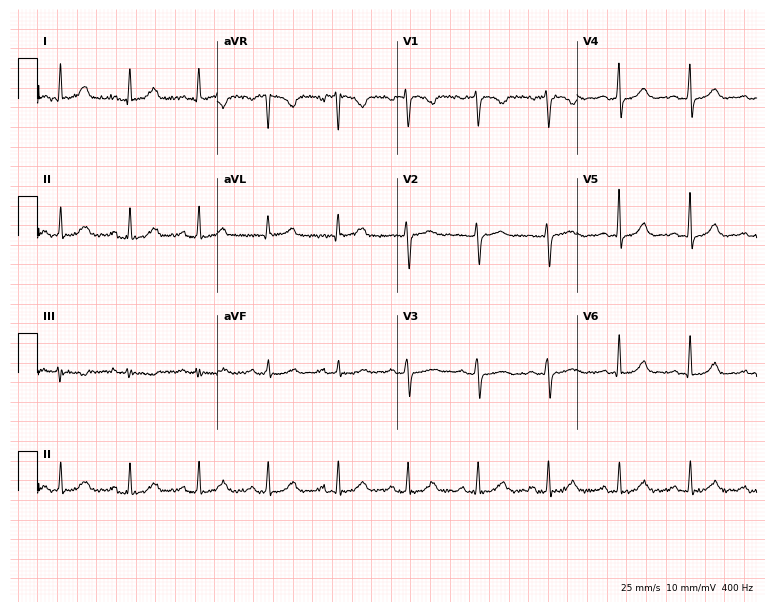
ECG — a 51-year-old female patient. Labelled as a normal ECG.